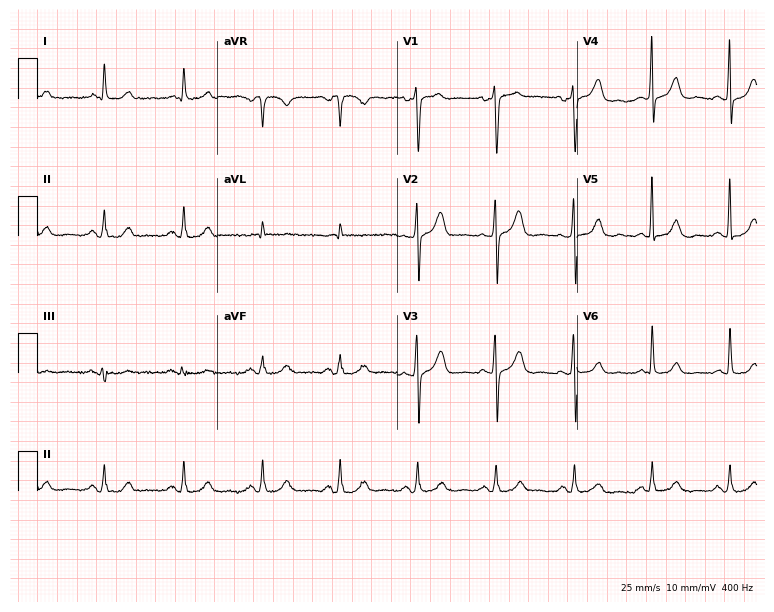
Electrocardiogram, a 59-year-old male patient. Overall reading on record: normal ECG.